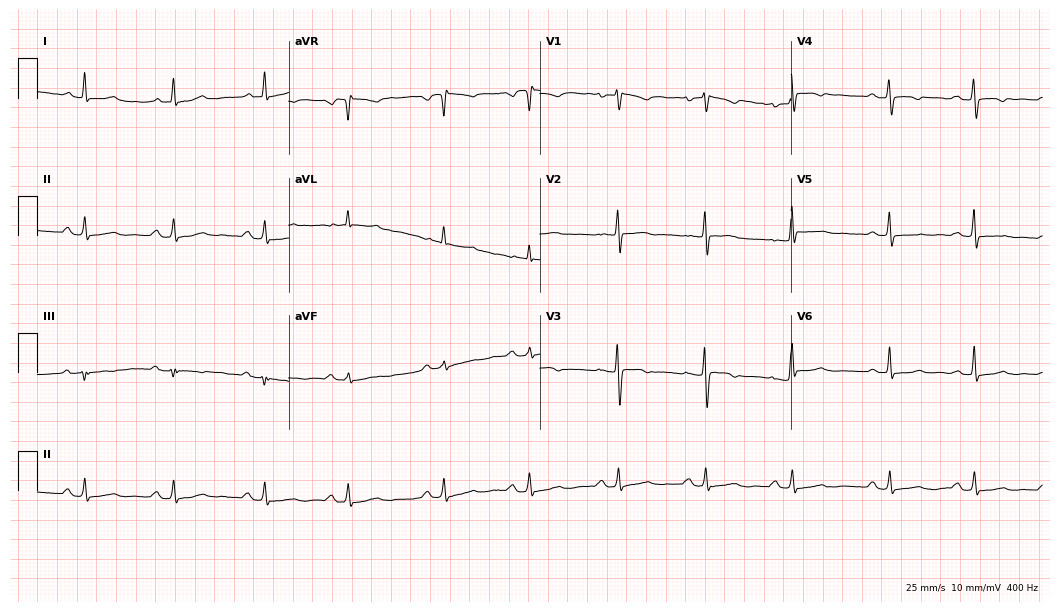
Resting 12-lead electrocardiogram. Patient: a 60-year-old female. None of these six findings is recorded: first-degree AV block, right bundle branch block (RBBB), left bundle branch block (LBBB), sinus bradycardia, atrial fibrillation (AF), sinus tachycardia.